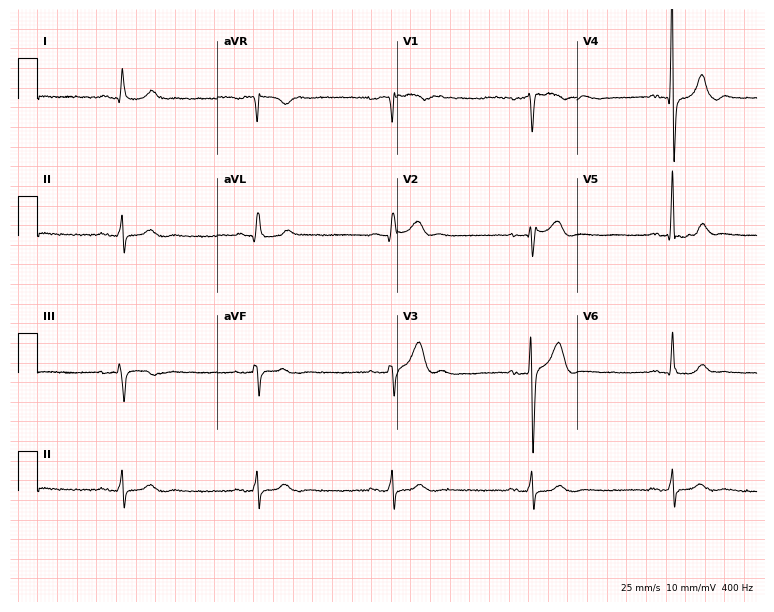
Resting 12-lead electrocardiogram. Patient: a man, 51 years old. The tracing shows sinus bradycardia (a sinus rate of 50 beats per minute or less).